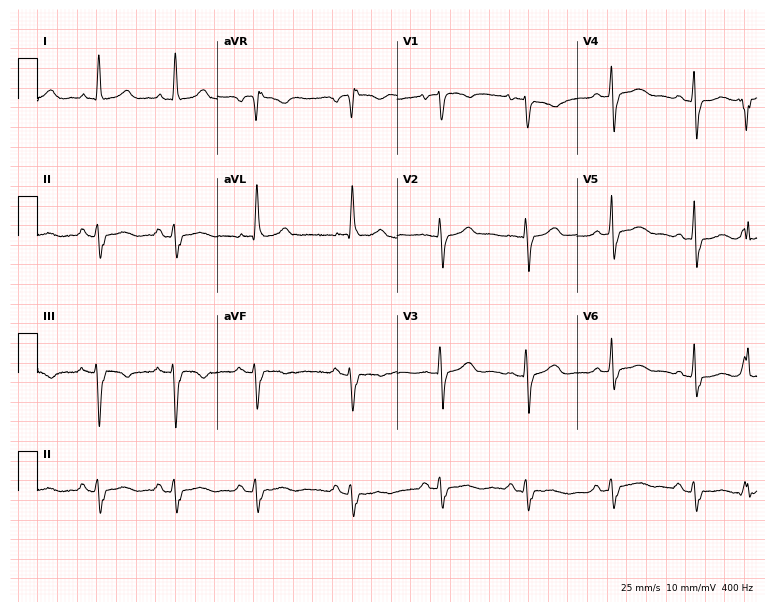
12-lead ECG from a female patient, 82 years old (7.3-second recording at 400 Hz). Shows left bundle branch block.